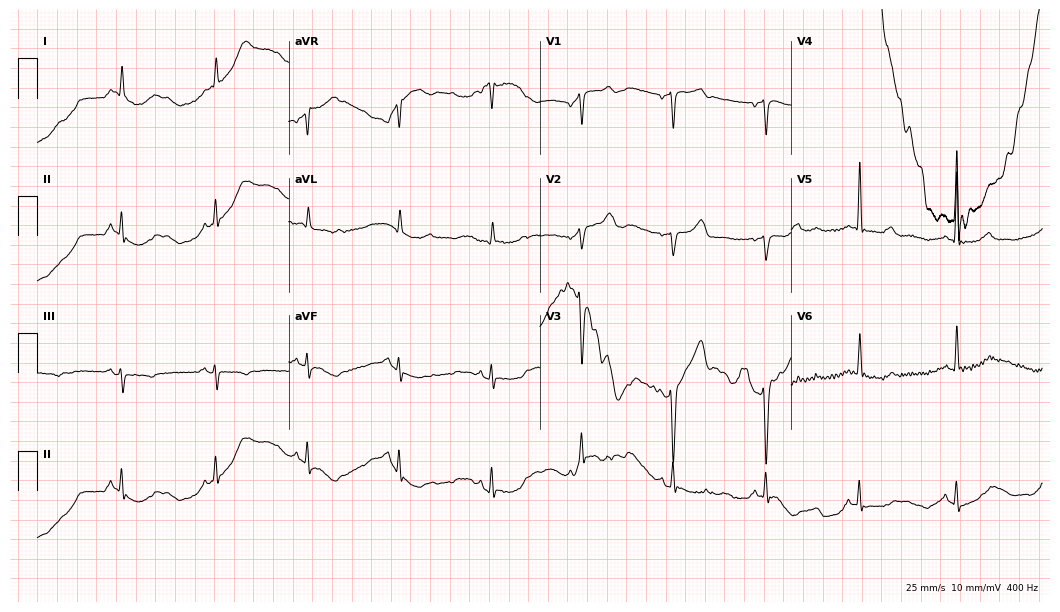
ECG — an 81-year-old male. Screened for six findings — first-degree AV block, right bundle branch block, left bundle branch block, sinus bradycardia, atrial fibrillation, sinus tachycardia — none is recorded.